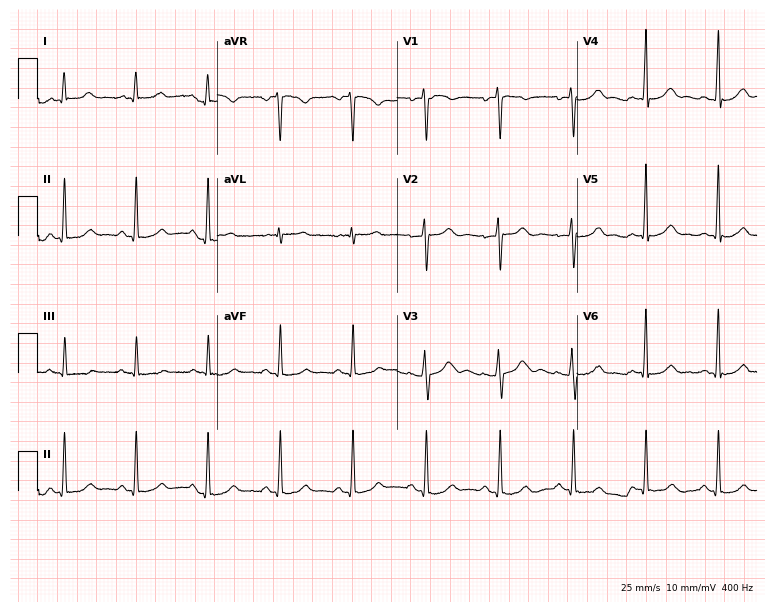
ECG (7.3-second recording at 400 Hz) — a woman, 30 years old. Labelled as a normal ECG.